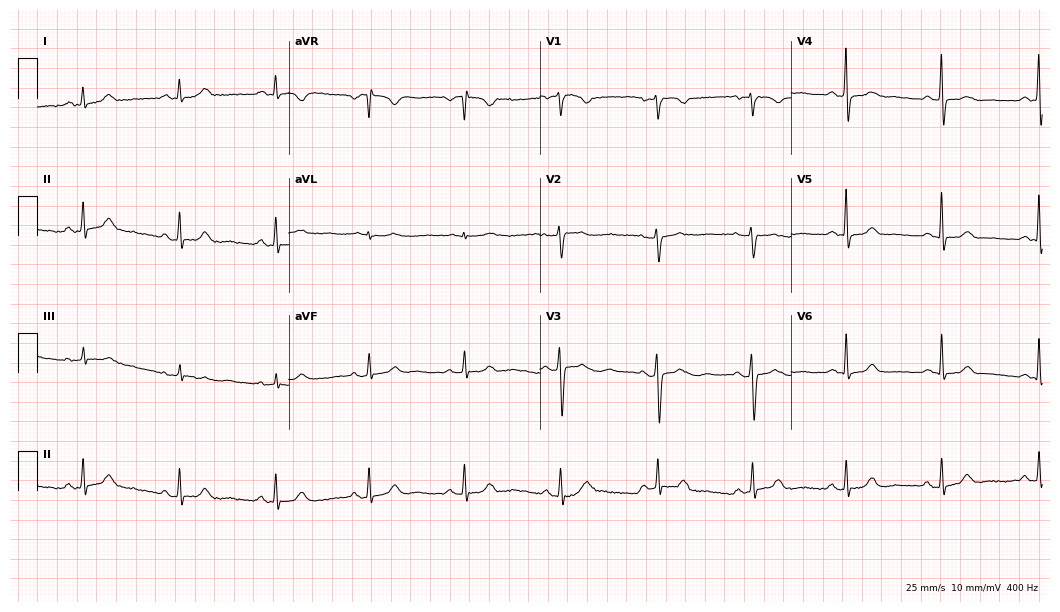
ECG — a woman, 49 years old. Labelled as a normal ECG.